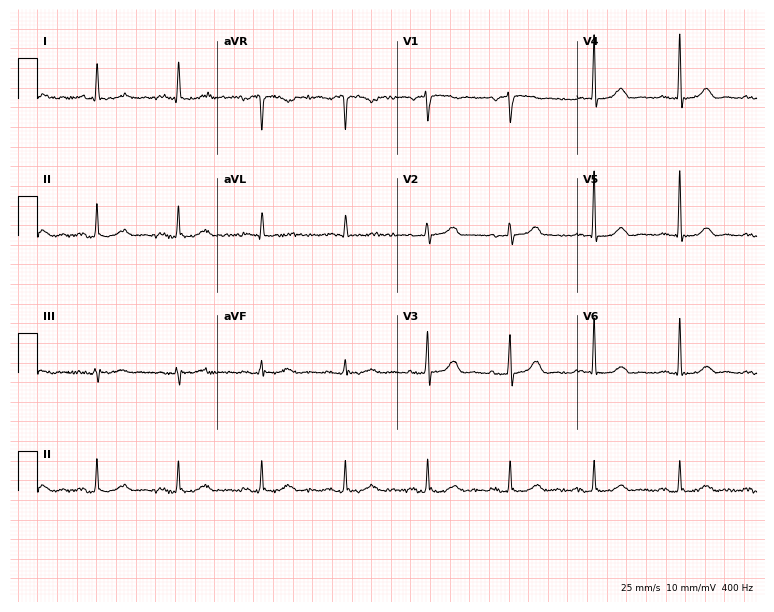
12-lead ECG from an 85-year-old female patient (7.3-second recording at 400 Hz). Recorded interpretation: within normal limits.